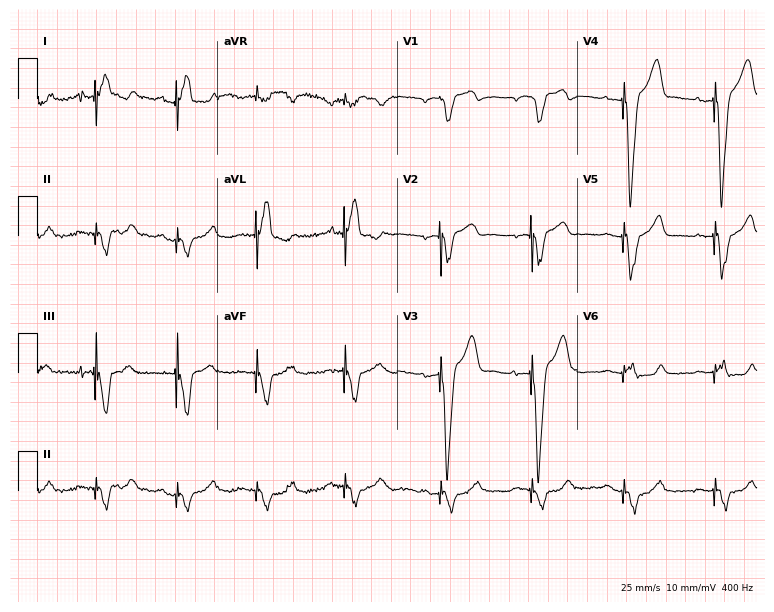
12-lead ECG from a male, 81 years old. No first-degree AV block, right bundle branch block, left bundle branch block, sinus bradycardia, atrial fibrillation or sinus tachycardia recorded for this tracing.